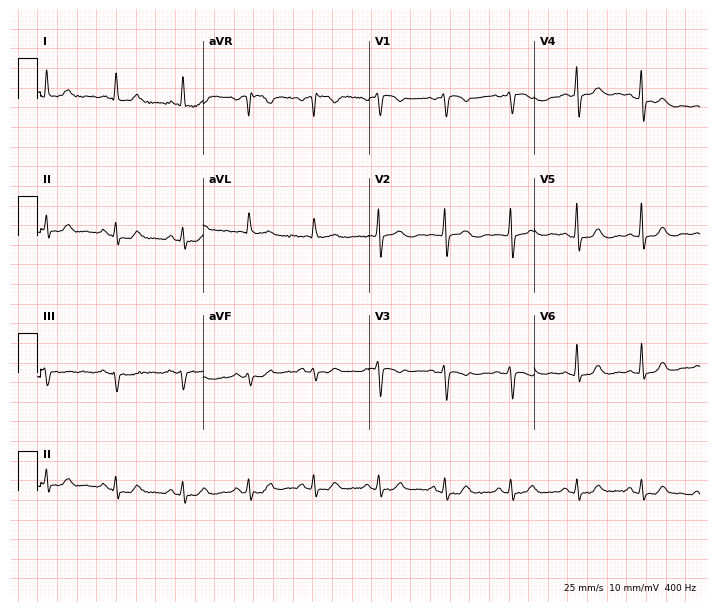
Standard 12-lead ECG recorded from a 66-year-old woman (6.8-second recording at 400 Hz). None of these six findings is recorded: first-degree AV block, right bundle branch block, left bundle branch block, sinus bradycardia, atrial fibrillation, sinus tachycardia.